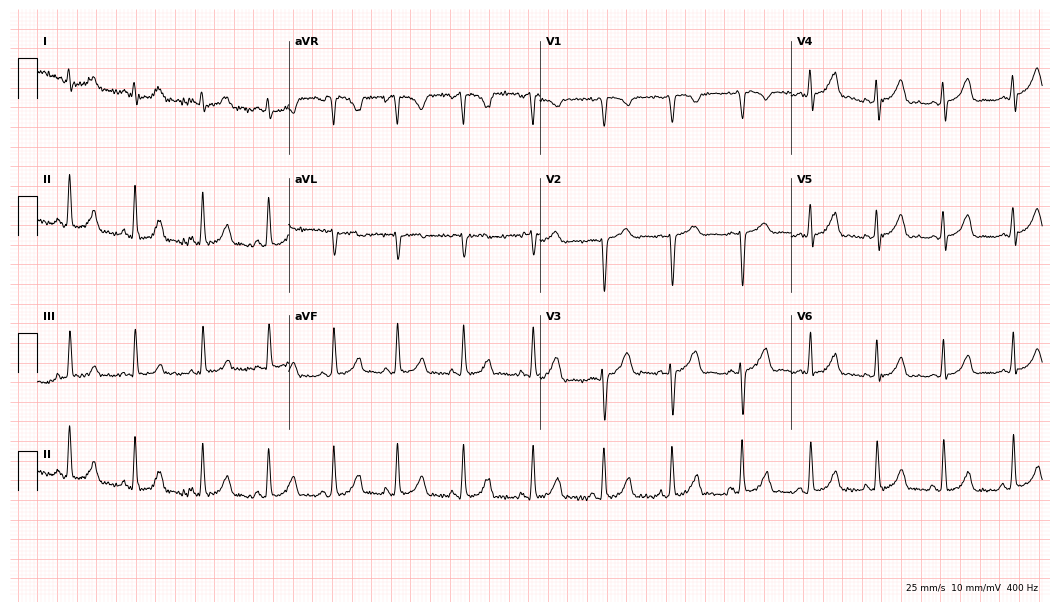
ECG — a 17-year-old female. Labelled as a normal ECG.